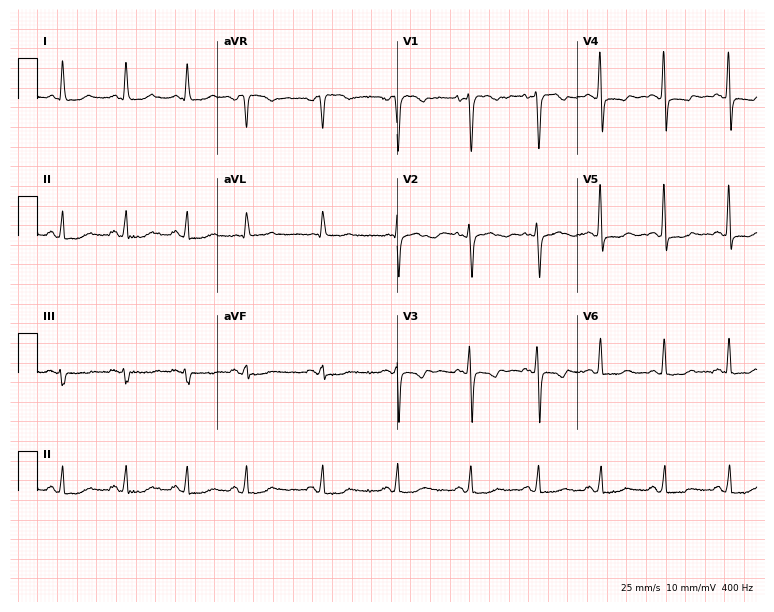
Electrocardiogram (7.3-second recording at 400 Hz), a 45-year-old female patient. Of the six screened findings (first-degree AV block, right bundle branch block, left bundle branch block, sinus bradycardia, atrial fibrillation, sinus tachycardia), none is recorded.